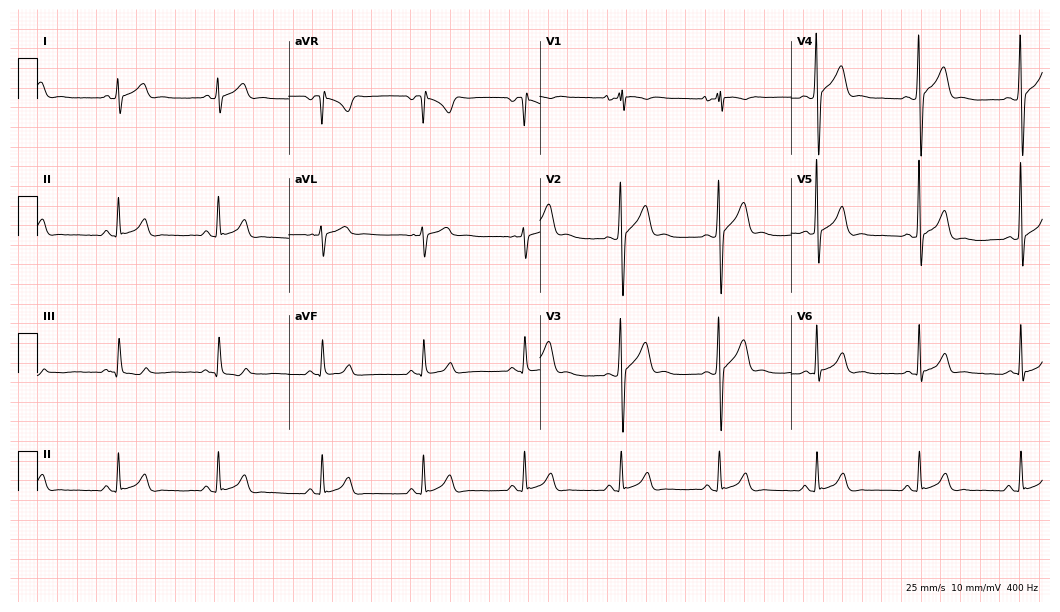
Standard 12-lead ECG recorded from a male, 19 years old (10.2-second recording at 400 Hz). Read as a normal ECG.